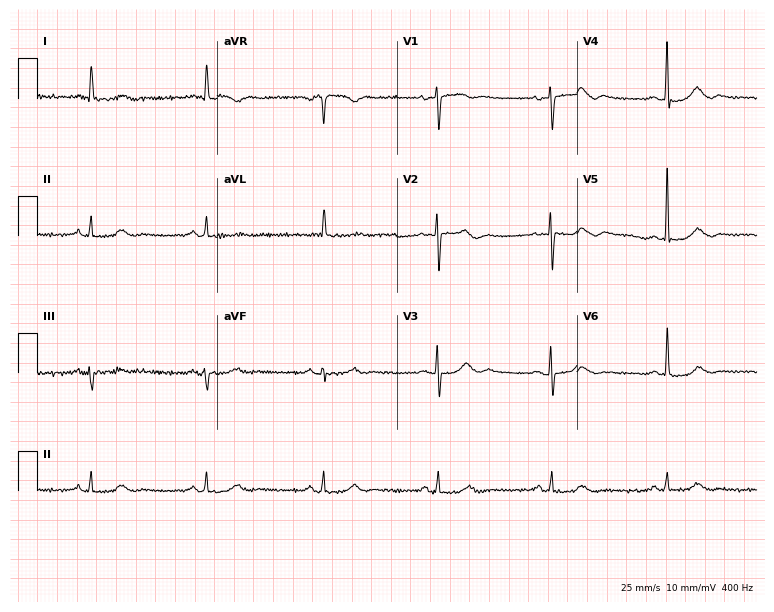
ECG — a 74-year-old female. Screened for six findings — first-degree AV block, right bundle branch block, left bundle branch block, sinus bradycardia, atrial fibrillation, sinus tachycardia — none is recorded. Other findings, if any, are not listed.